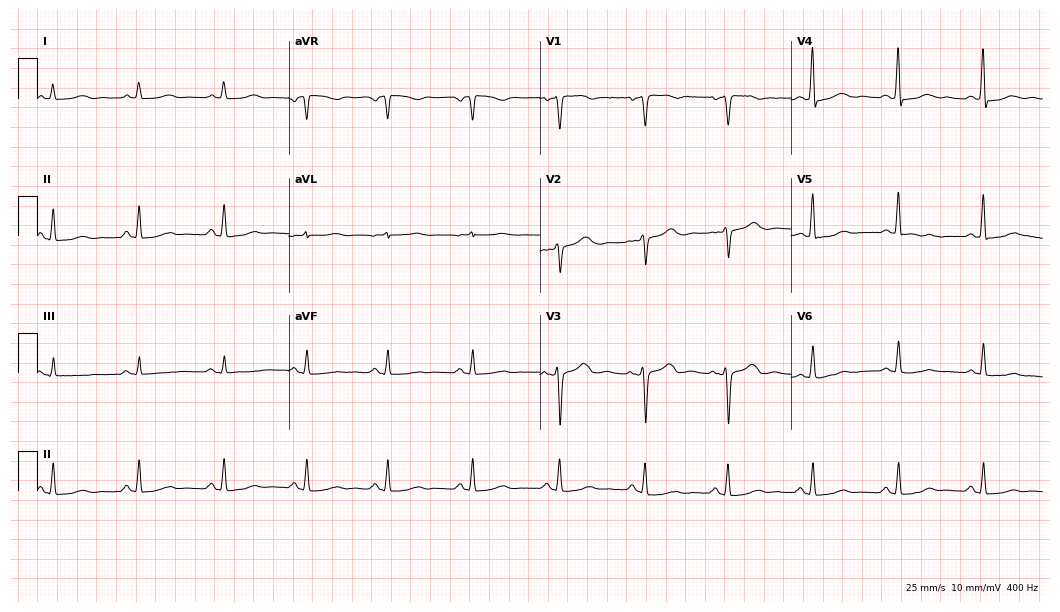
Standard 12-lead ECG recorded from a 51-year-old woman (10.2-second recording at 400 Hz). Read as a normal ECG.